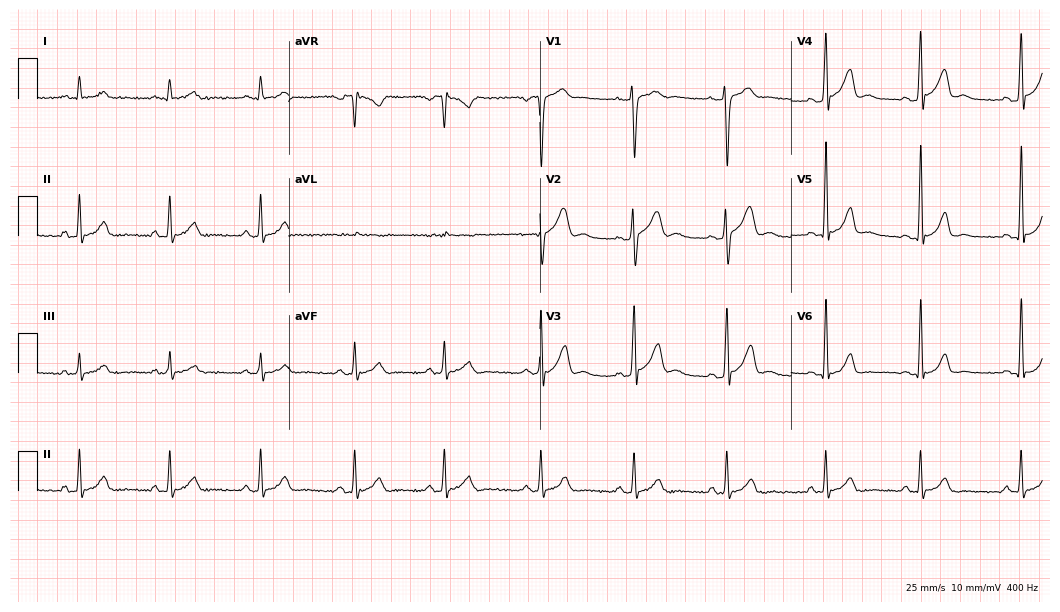
12-lead ECG from a male patient, 23 years old. Labelled as a normal ECG.